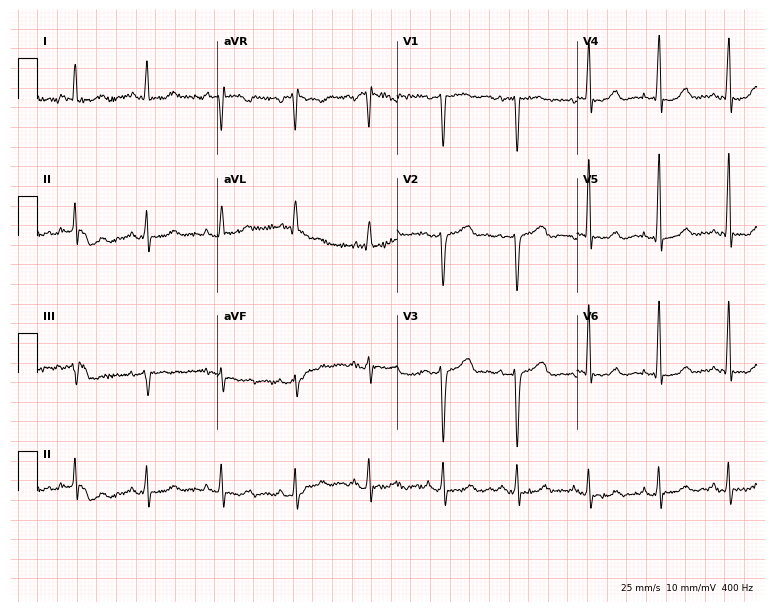
12-lead ECG (7.3-second recording at 400 Hz) from a female patient, 44 years old. Screened for six findings — first-degree AV block, right bundle branch block, left bundle branch block, sinus bradycardia, atrial fibrillation, sinus tachycardia — none is recorded.